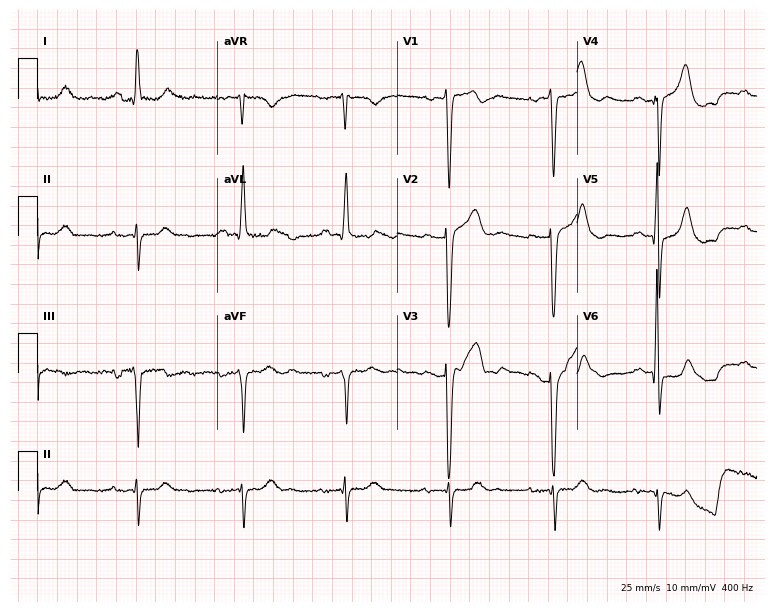
12-lead ECG from a 71-year-old man. No first-degree AV block, right bundle branch block, left bundle branch block, sinus bradycardia, atrial fibrillation or sinus tachycardia recorded for this tracing.